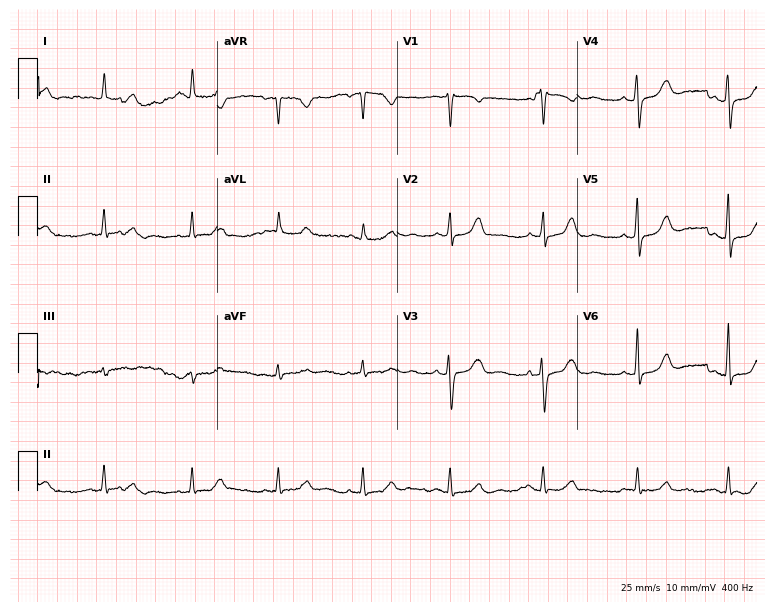
12-lead ECG (7.3-second recording at 400 Hz) from a female, 66 years old. Labelled as a normal ECG.